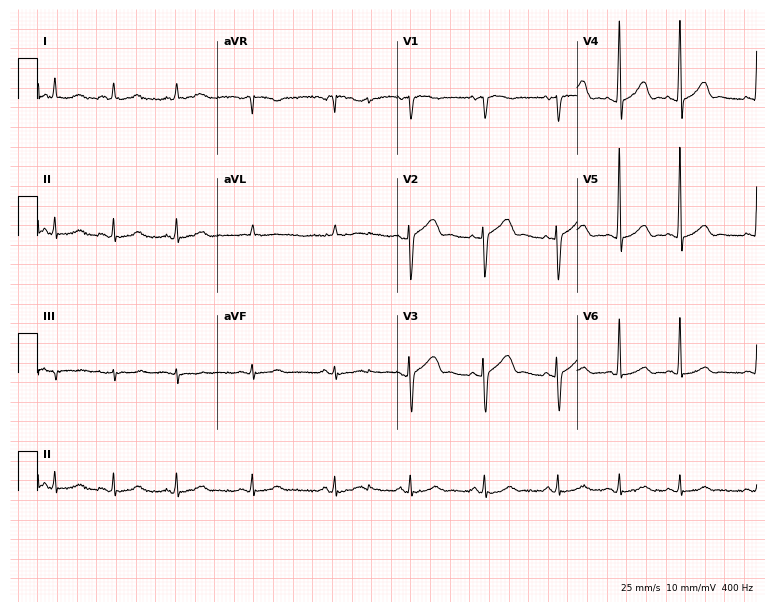
12-lead ECG from a female patient, 83 years old. No first-degree AV block, right bundle branch block, left bundle branch block, sinus bradycardia, atrial fibrillation or sinus tachycardia recorded for this tracing.